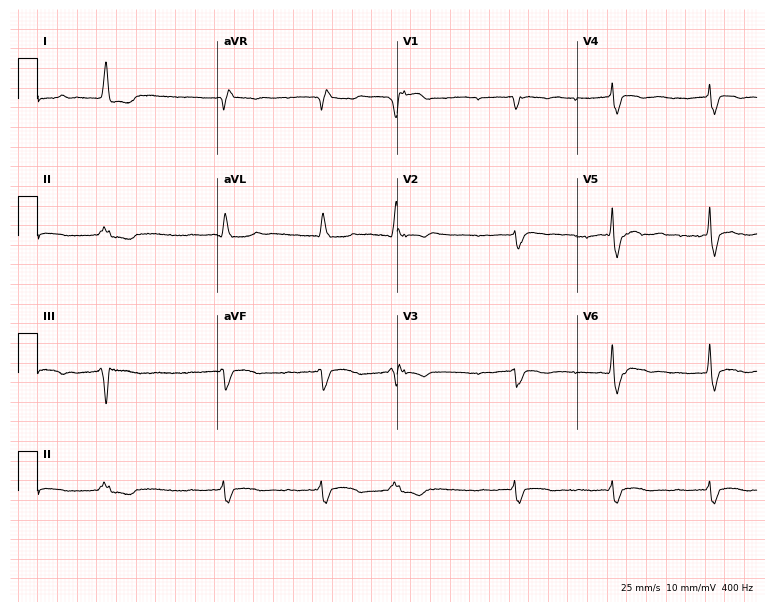
12-lead ECG from a male, 83 years old (7.3-second recording at 400 Hz). No first-degree AV block, right bundle branch block, left bundle branch block, sinus bradycardia, atrial fibrillation or sinus tachycardia recorded for this tracing.